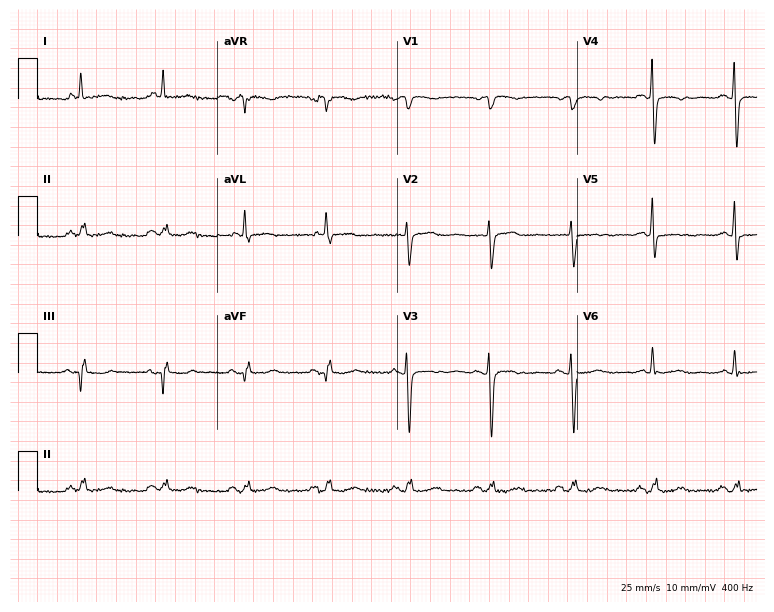
12-lead ECG (7.3-second recording at 400 Hz) from a female, 70 years old. Screened for six findings — first-degree AV block, right bundle branch block, left bundle branch block, sinus bradycardia, atrial fibrillation, sinus tachycardia — none is recorded.